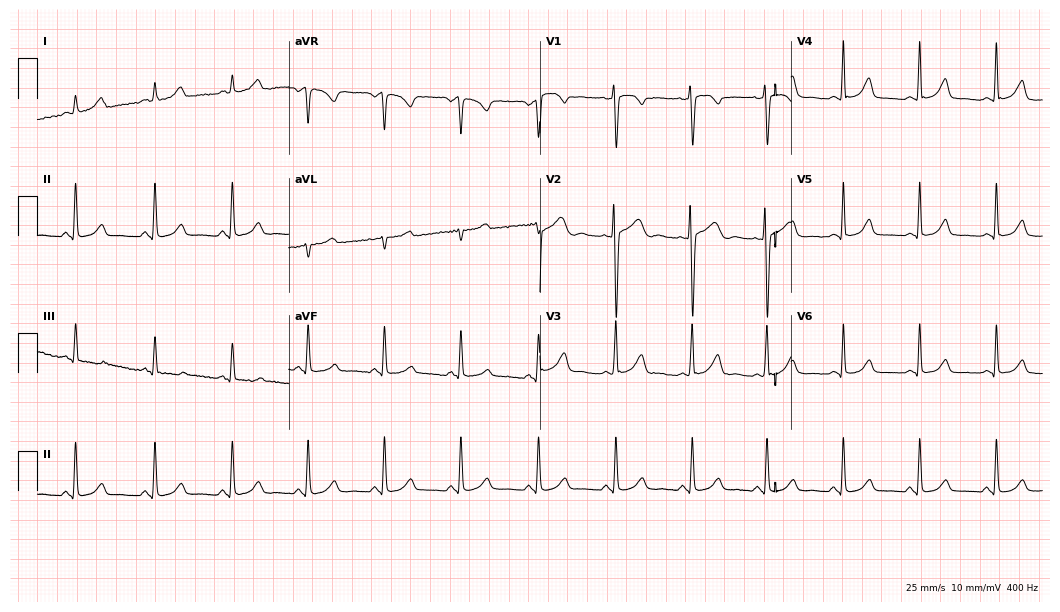
12-lead ECG from a 49-year-old woman (10.2-second recording at 400 Hz). No first-degree AV block, right bundle branch block, left bundle branch block, sinus bradycardia, atrial fibrillation or sinus tachycardia recorded for this tracing. Findings outside these six are not listed.